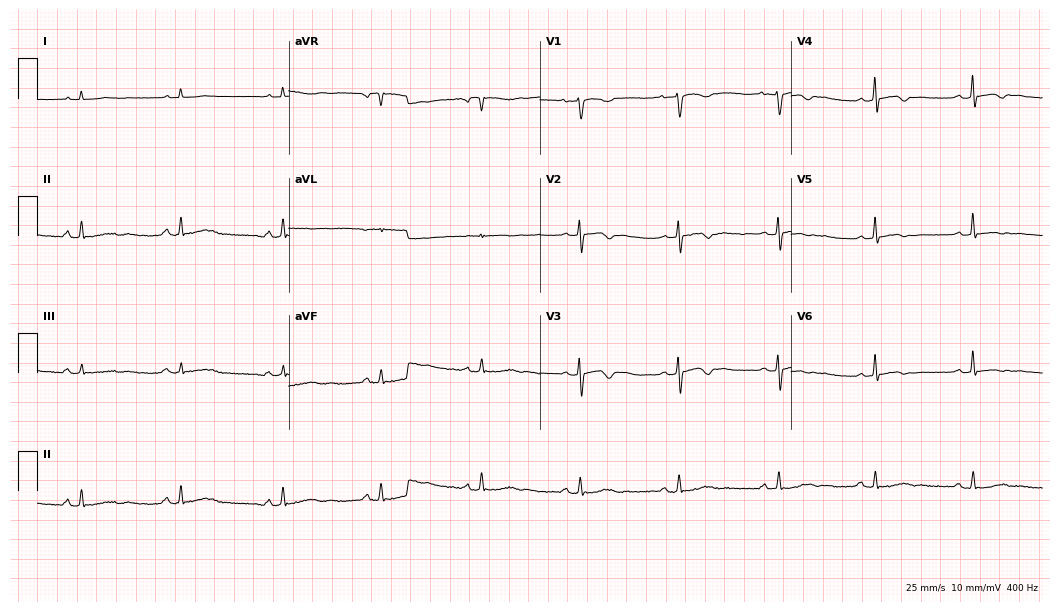
Electrocardiogram, a 41-year-old female. Of the six screened findings (first-degree AV block, right bundle branch block, left bundle branch block, sinus bradycardia, atrial fibrillation, sinus tachycardia), none is recorded. Only these six findings were labelled.